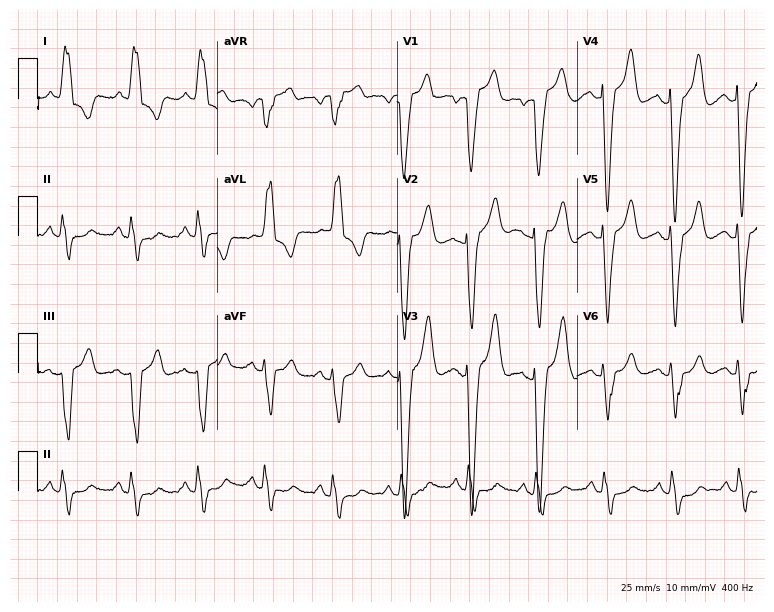
Electrocardiogram (7.3-second recording at 400 Hz), a female, 66 years old. Interpretation includes left bundle branch block.